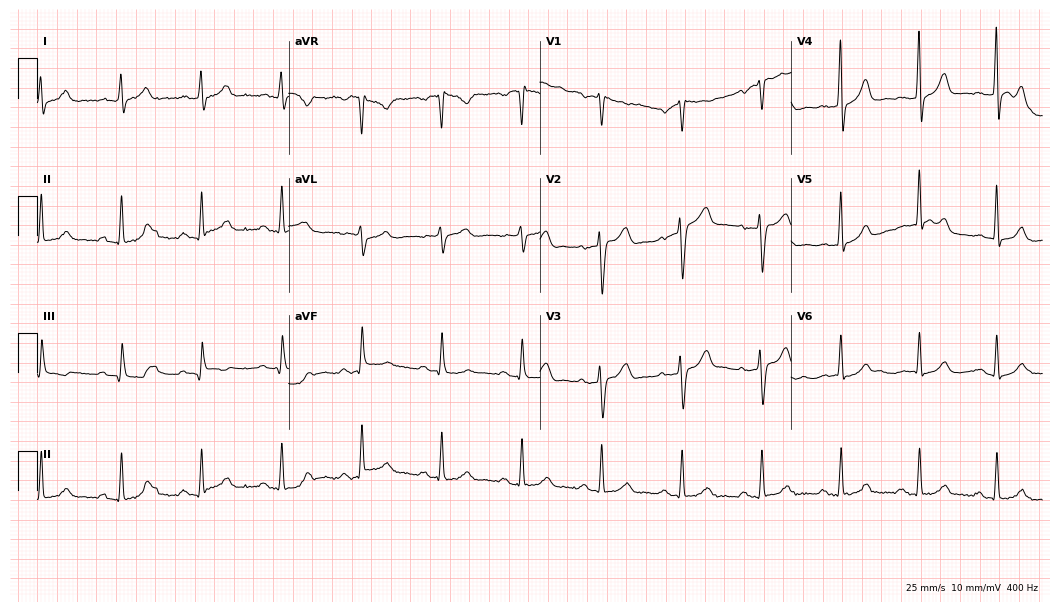
Electrocardiogram (10.2-second recording at 400 Hz), a 53-year-old male. Of the six screened findings (first-degree AV block, right bundle branch block, left bundle branch block, sinus bradycardia, atrial fibrillation, sinus tachycardia), none is recorded.